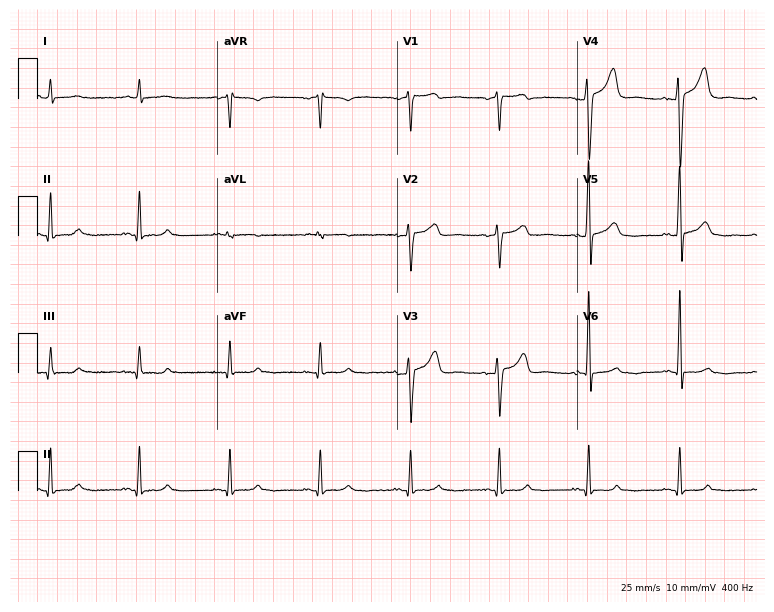
ECG (7.3-second recording at 400 Hz) — a 70-year-old male. Screened for six findings — first-degree AV block, right bundle branch block, left bundle branch block, sinus bradycardia, atrial fibrillation, sinus tachycardia — none is recorded. Findings outside these six are not listed.